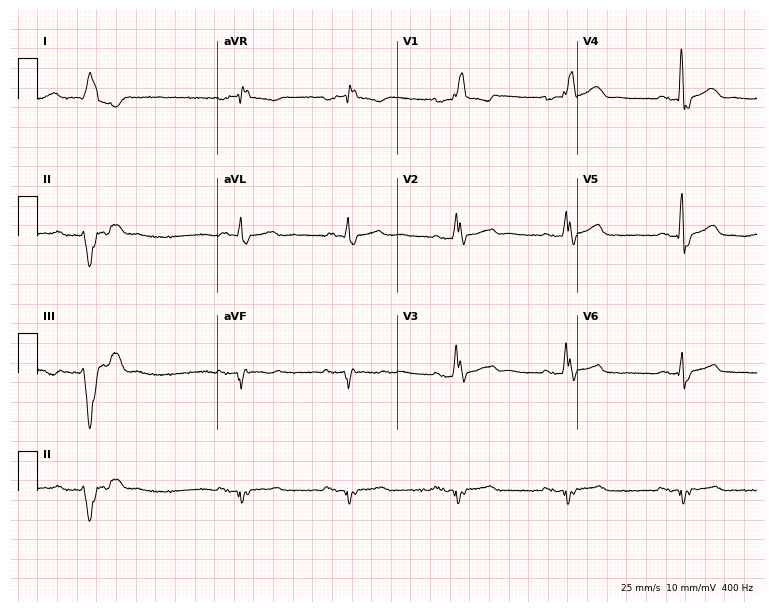
12-lead ECG from a 75-year-old male patient. Shows right bundle branch block (RBBB).